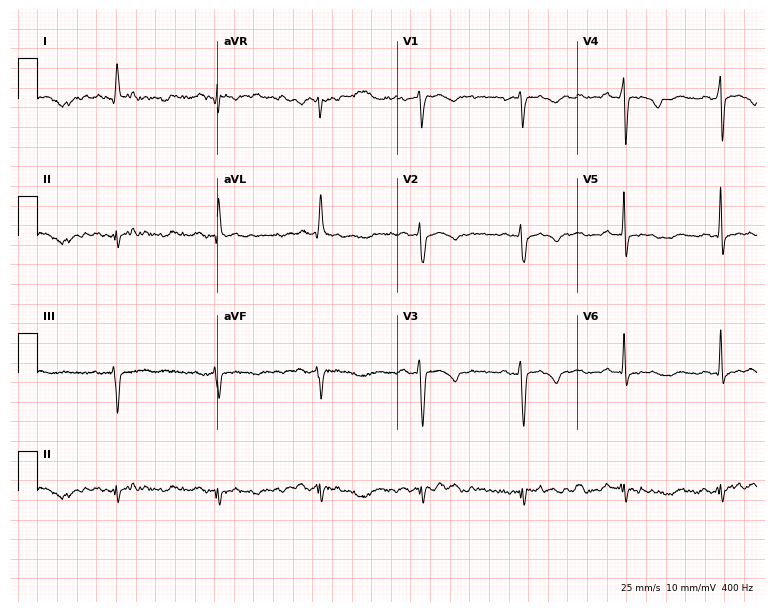
ECG — a female, 75 years old. Screened for six findings — first-degree AV block, right bundle branch block, left bundle branch block, sinus bradycardia, atrial fibrillation, sinus tachycardia — none is recorded.